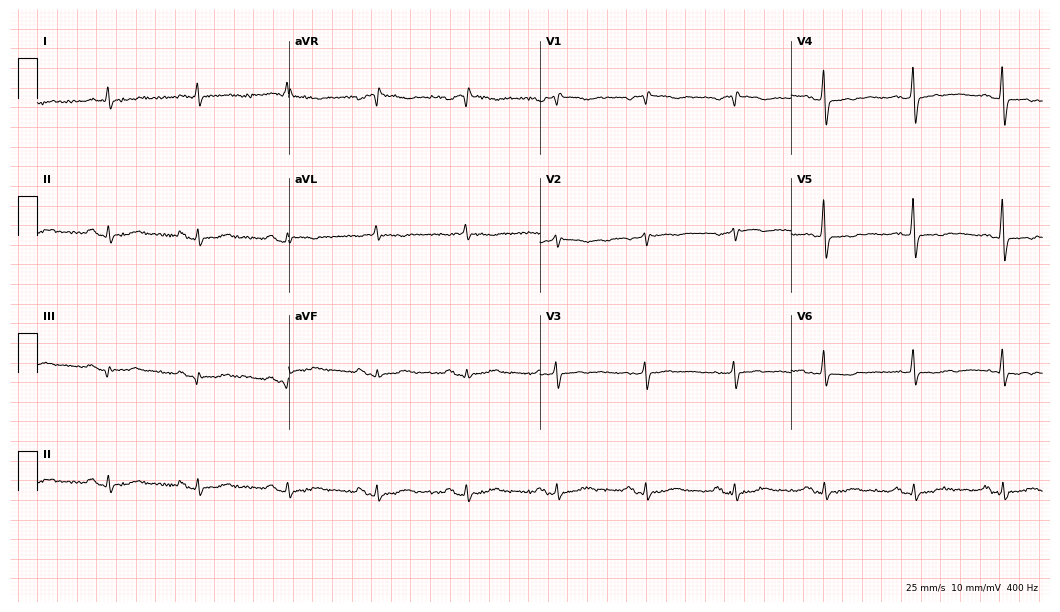
12-lead ECG from a male, 80 years old. No first-degree AV block, right bundle branch block (RBBB), left bundle branch block (LBBB), sinus bradycardia, atrial fibrillation (AF) or sinus tachycardia recorded for this tracing. Other findings, if any, are not listed.